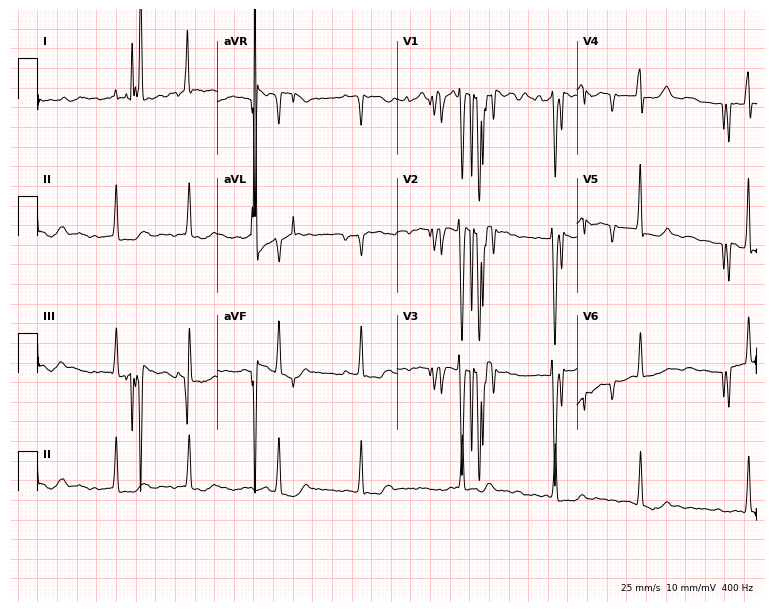
12-lead ECG from a female patient, 45 years old. Screened for six findings — first-degree AV block, right bundle branch block, left bundle branch block, sinus bradycardia, atrial fibrillation, sinus tachycardia — none is recorded. Findings outside these six are not listed.